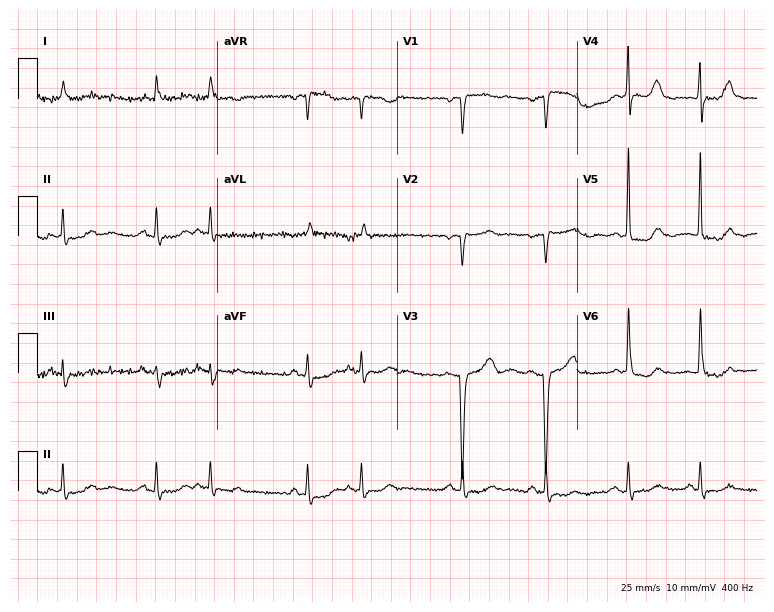
Standard 12-lead ECG recorded from a female patient, 79 years old. None of these six findings is recorded: first-degree AV block, right bundle branch block, left bundle branch block, sinus bradycardia, atrial fibrillation, sinus tachycardia. Only these six findings were labelled.